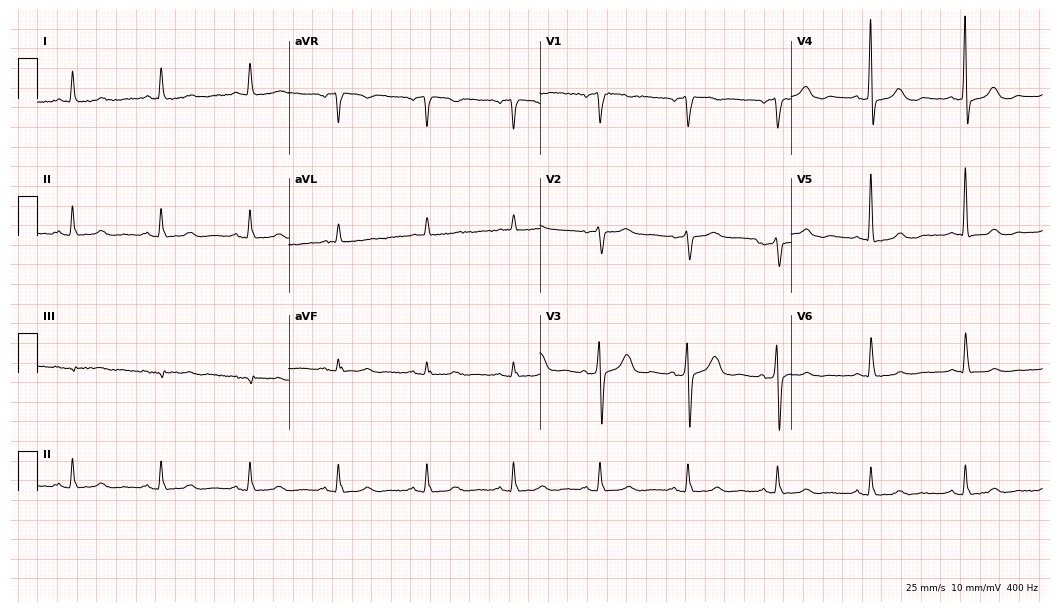
12-lead ECG from an 83-year-old male. Screened for six findings — first-degree AV block, right bundle branch block, left bundle branch block, sinus bradycardia, atrial fibrillation, sinus tachycardia — none is recorded. Other findings, if any, are not listed.